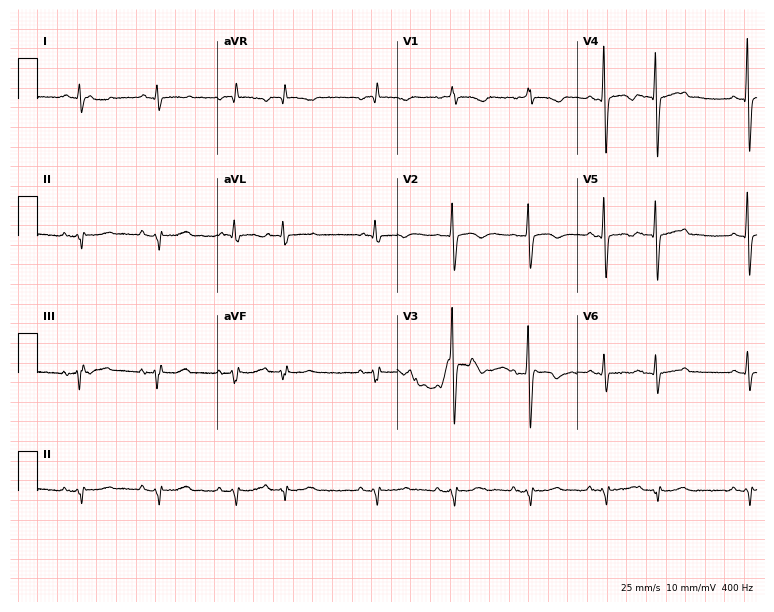
Electrocardiogram, an 85-year-old female patient. Of the six screened findings (first-degree AV block, right bundle branch block, left bundle branch block, sinus bradycardia, atrial fibrillation, sinus tachycardia), none is recorded.